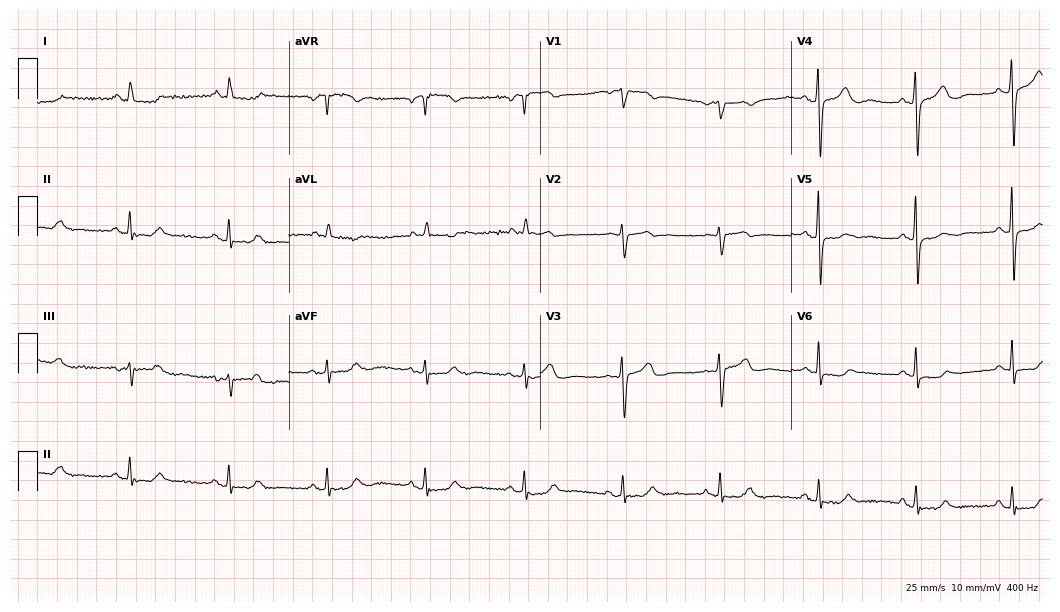
Electrocardiogram, a female, 70 years old. Overall reading on record: normal ECG.